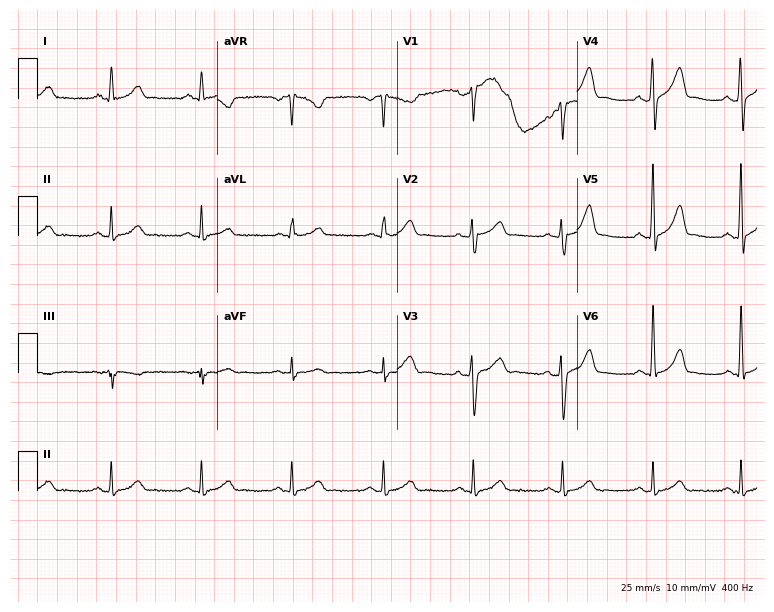
Resting 12-lead electrocardiogram. Patient: a male, 34 years old. Read as a normal ECG.